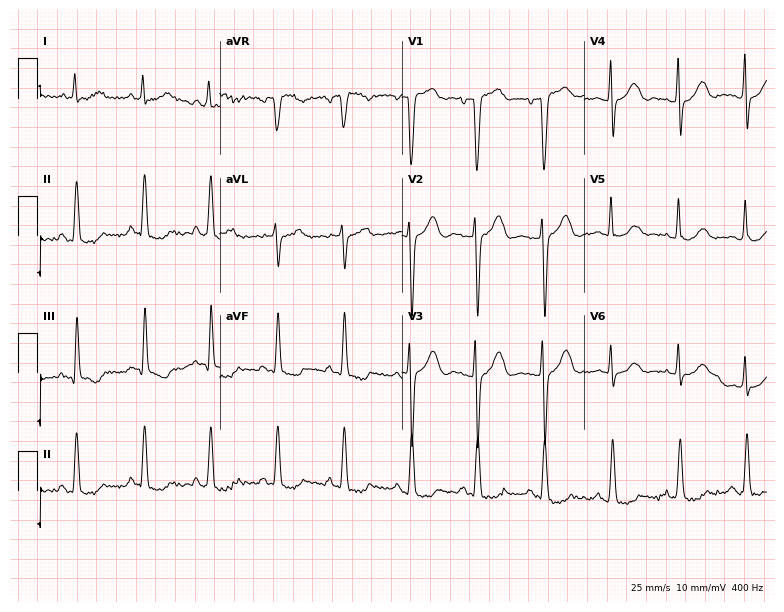
Standard 12-lead ECG recorded from a 64-year-old man (7.4-second recording at 400 Hz). None of these six findings is recorded: first-degree AV block, right bundle branch block, left bundle branch block, sinus bradycardia, atrial fibrillation, sinus tachycardia. Other findings, if any, are not listed.